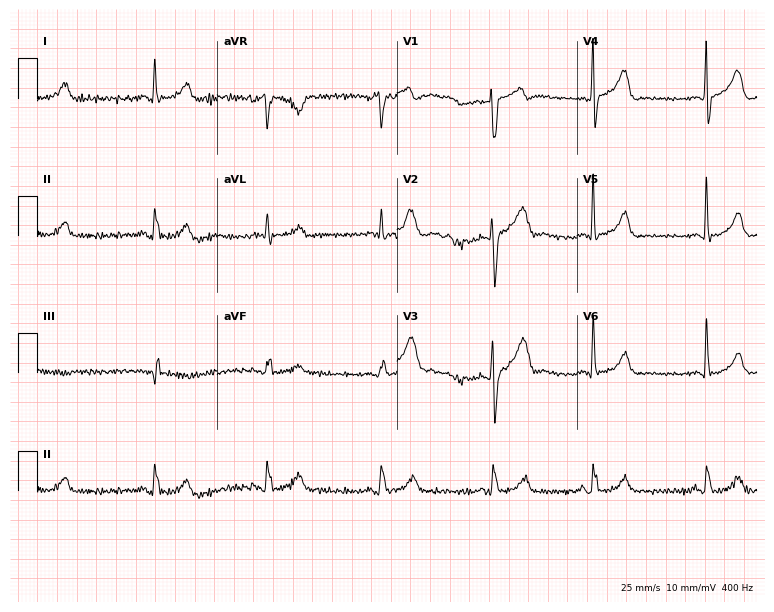
12-lead ECG from a male, 44 years old. Screened for six findings — first-degree AV block, right bundle branch block, left bundle branch block, sinus bradycardia, atrial fibrillation, sinus tachycardia — none is recorded. Other findings, if any, are not listed.